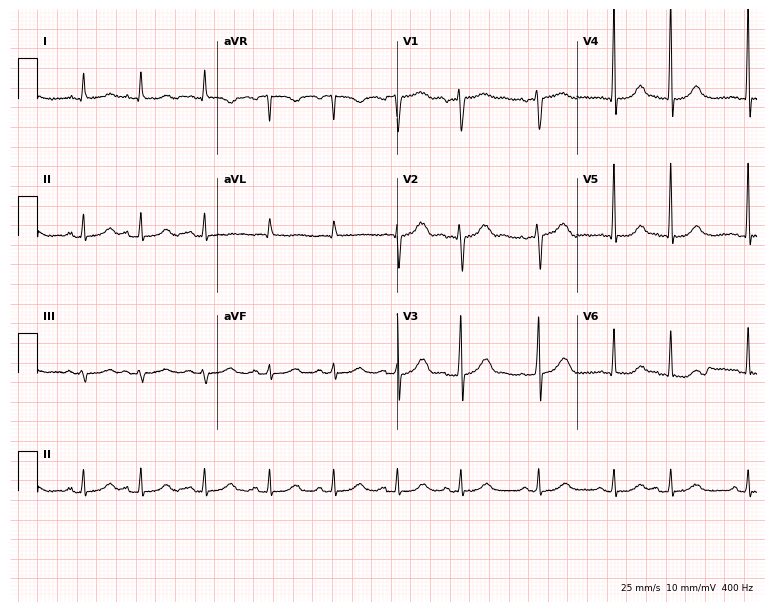
Electrocardiogram, a man, 66 years old. Of the six screened findings (first-degree AV block, right bundle branch block (RBBB), left bundle branch block (LBBB), sinus bradycardia, atrial fibrillation (AF), sinus tachycardia), none is recorded.